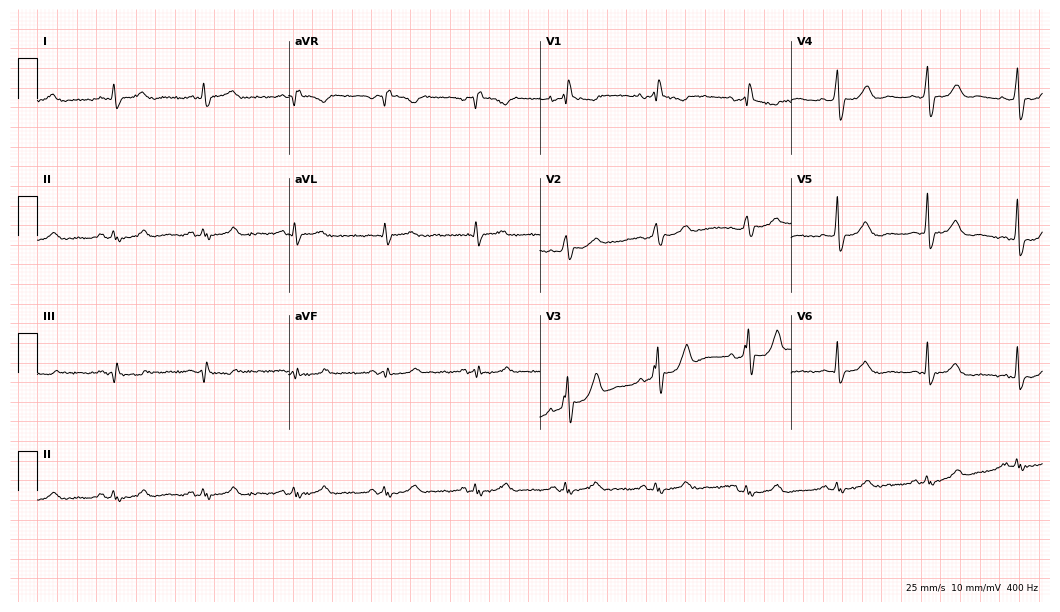
12-lead ECG (10.2-second recording at 400 Hz) from a 79-year-old male. Screened for six findings — first-degree AV block, right bundle branch block, left bundle branch block, sinus bradycardia, atrial fibrillation, sinus tachycardia — none is recorded.